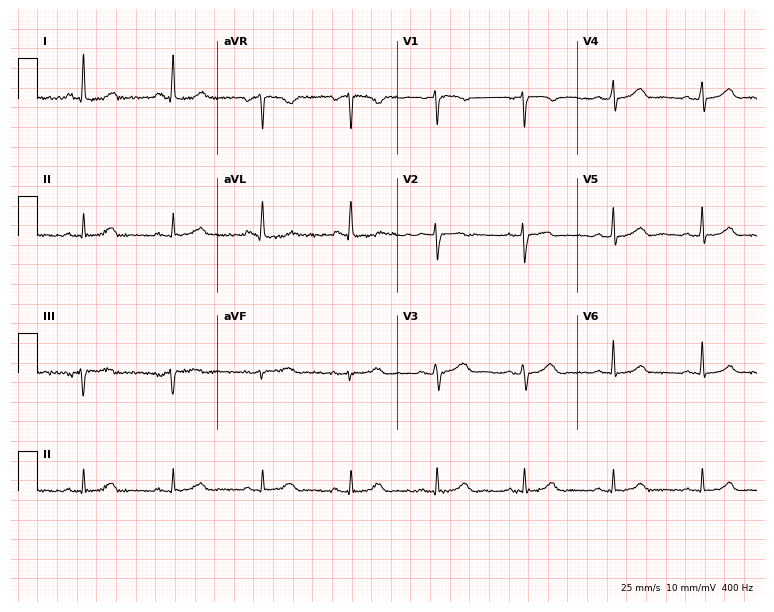
Standard 12-lead ECG recorded from a female, 51 years old (7.3-second recording at 400 Hz). Read as a normal ECG.